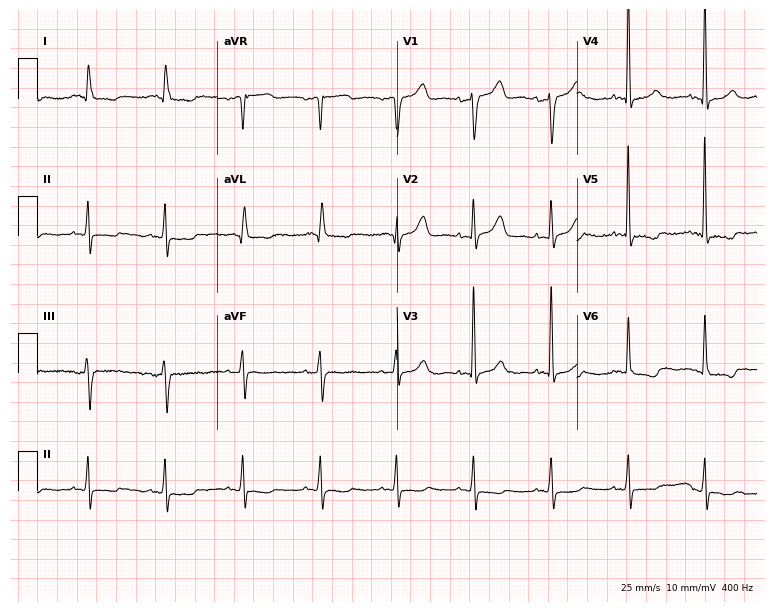
Standard 12-lead ECG recorded from a 78-year-old female. None of these six findings is recorded: first-degree AV block, right bundle branch block (RBBB), left bundle branch block (LBBB), sinus bradycardia, atrial fibrillation (AF), sinus tachycardia. Findings outside these six are not listed.